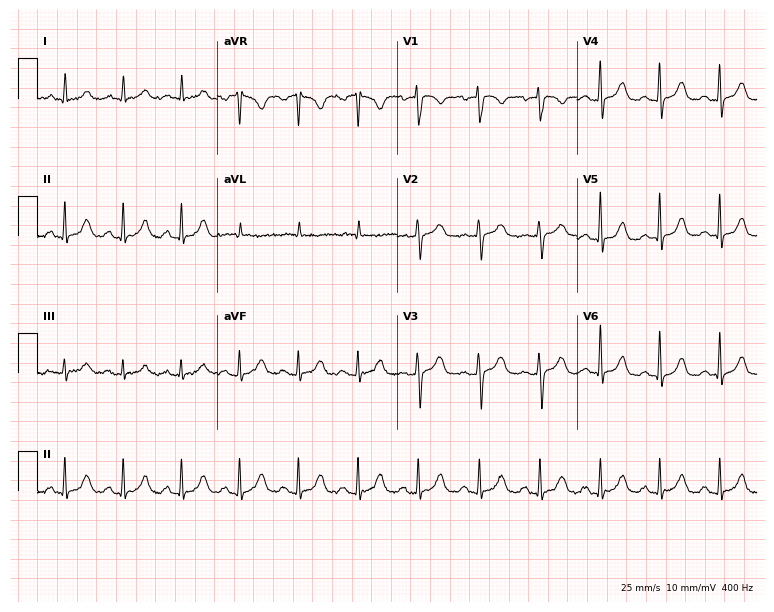
ECG (7.3-second recording at 400 Hz) — a 62-year-old female patient. Labelled as a normal ECG.